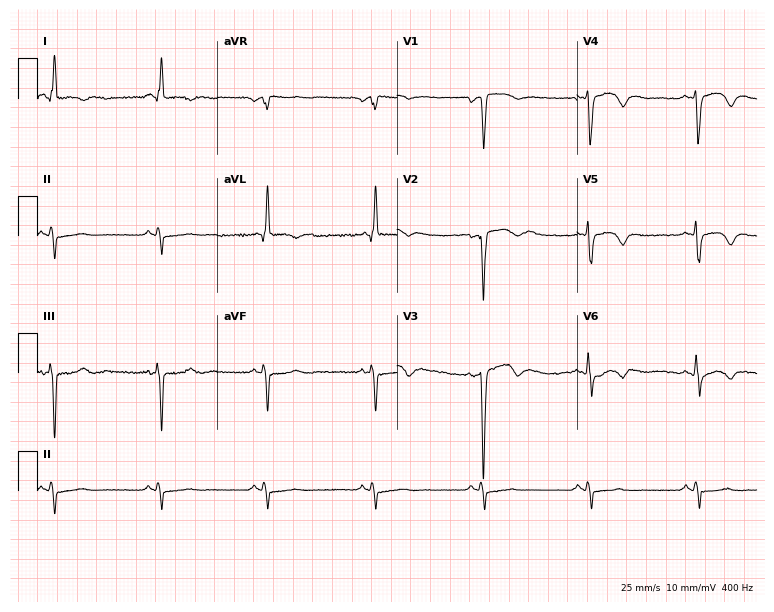
Resting 12-lead electrocardiogram. Patient: a male, 60 years old. None of these six findings is recorded: first-degree AV block, right bundle branch block, left bundle branch block, sinus bradycardia, atrial fibrillation, sinus tachycardia. Other findings, if any, are not listed.